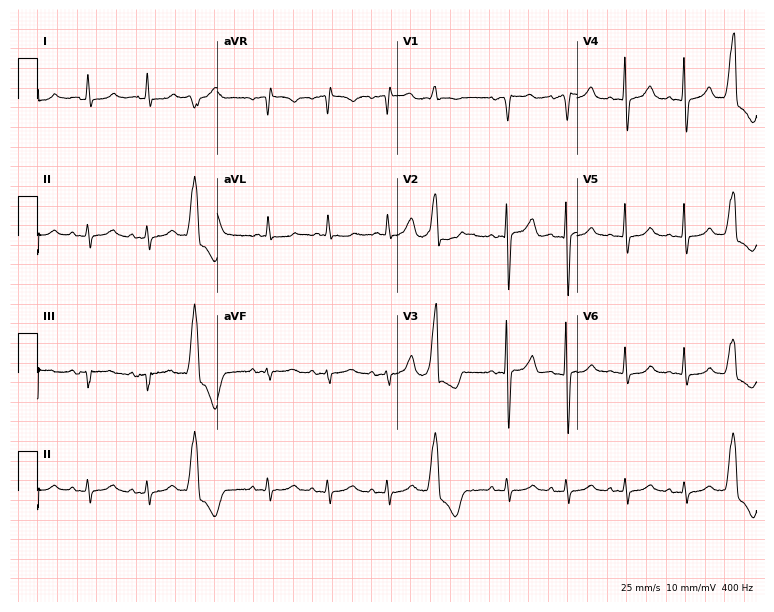
Standard 12-lead ECG recorded from a female, 84 years old (7.3-second recording at 400 Hz). Read as a normal ECG.